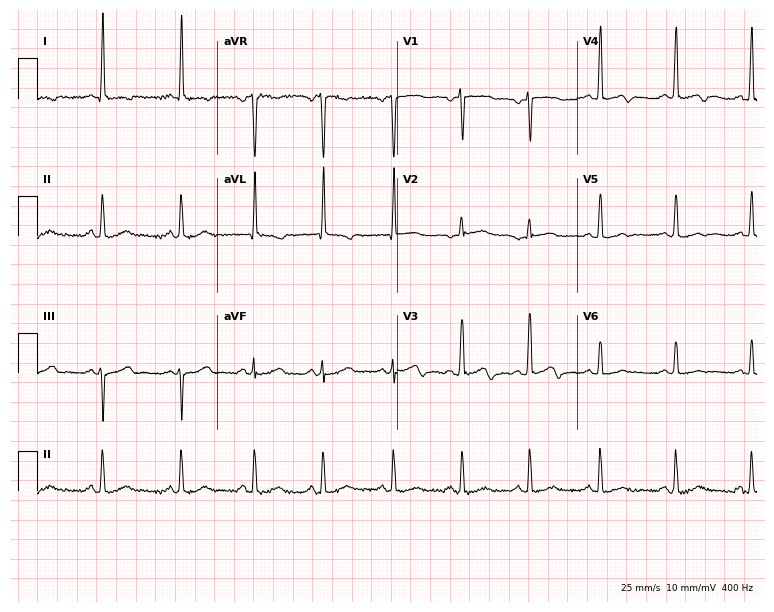
12-lead ECG from a female patient, 52 years old (7.3-second recording at 400 Hz). No first-degree AV block, right bundle branch block, left bundle branch block, sinus bradycardia, atrial fibrillation or sinus tachycardia recorded for this tracing. Other findings, if any, are not listed.